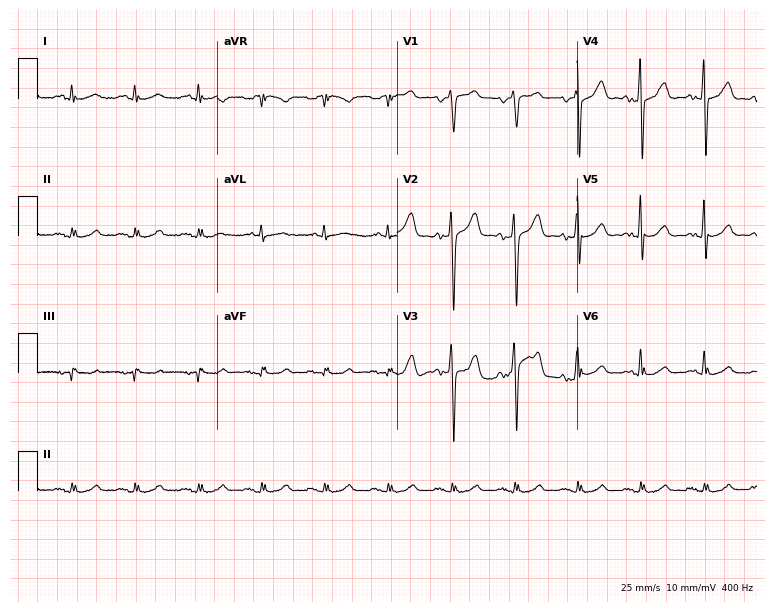
Standard 12-lead ECG recorded from a 61-year-old man. Read as a normal ECG.